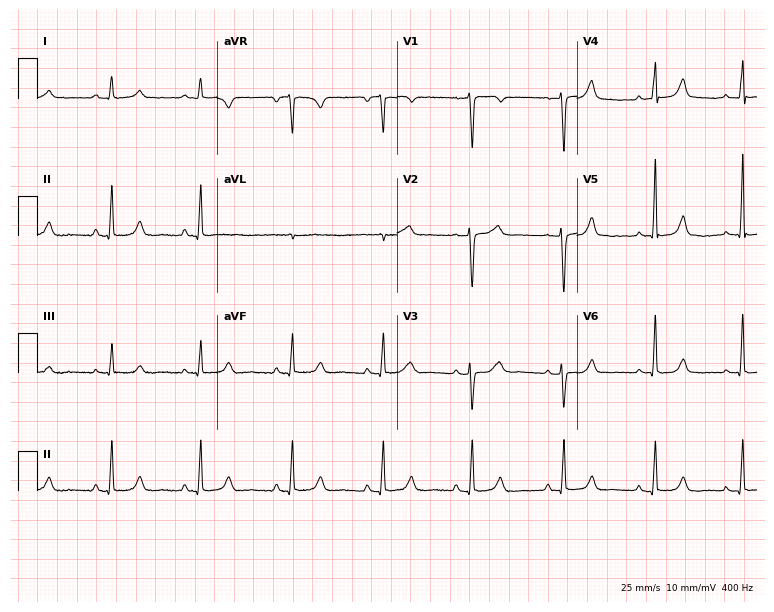
12-lead ECG from a 68-year-old female. Recorded interpretation: within normal limits.